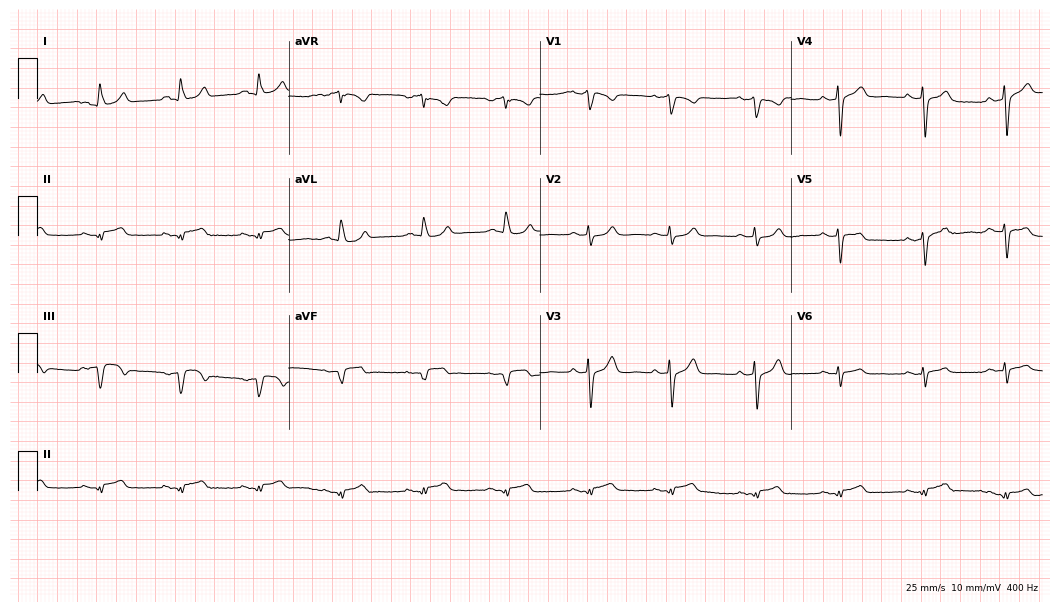
Resting 12-lead electrocardiogram. Patient: a 78-year-old man. None of these six findings is recorded: first-degree AV block, right bundle branch block (RBBB), left bundle branch block (LBBB), sinus bradycardia, atrial fibrillation (AF), sinus tachycardia. Other findings, if any, are not listed.